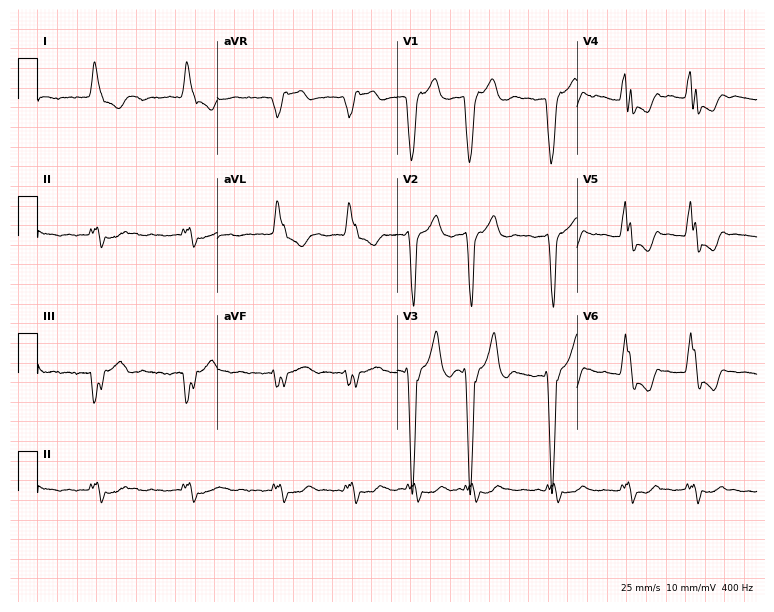
Standard 12-lead ECG recorded from a 76-year-old man (7.3-second recording at 400 Hz). The tracing shows left bundle branch block, atrial fibrillation.